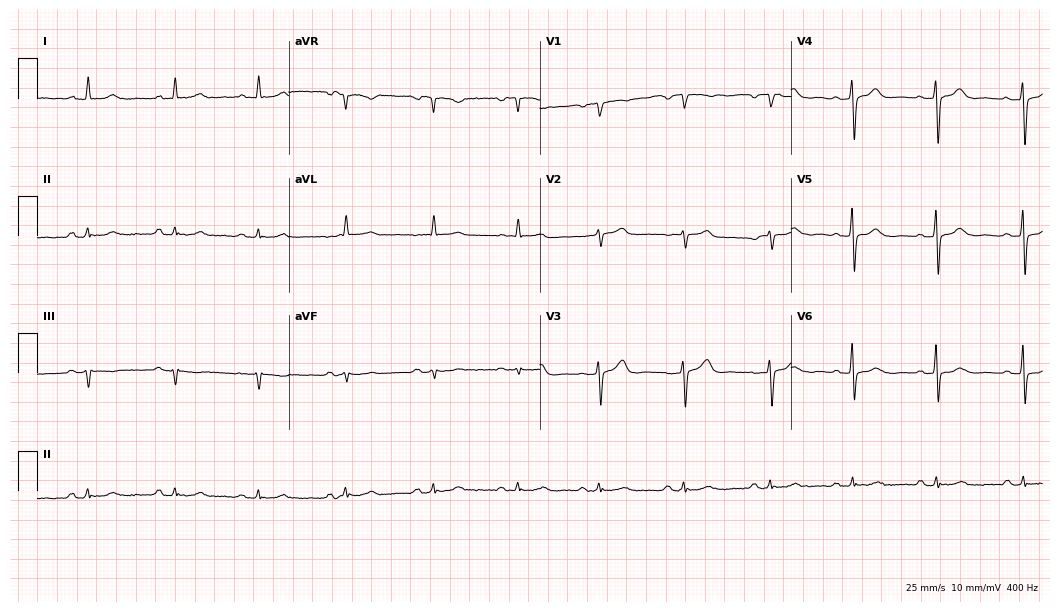
Electrocardiogram, a 53-year-old female. Overall reading on record: normal ECG.